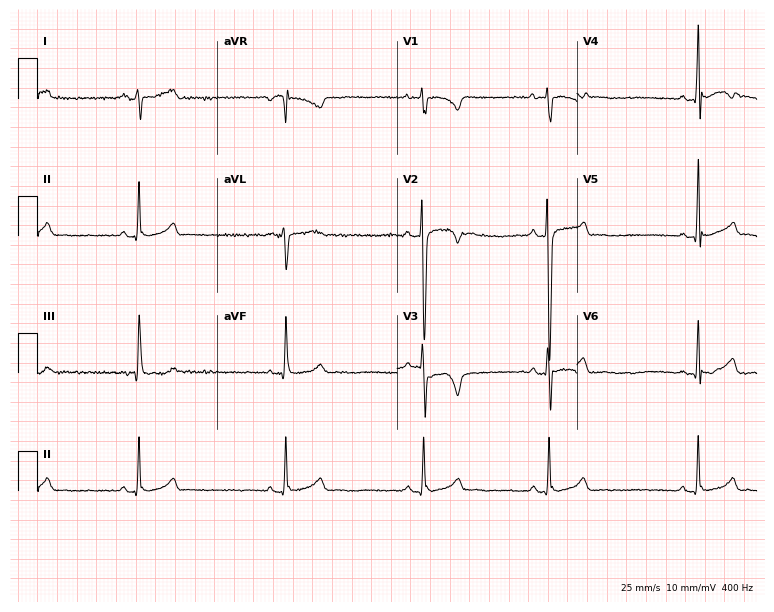
Standard 12-lead ECG recorded from a male patient, 19 years old. None of these six findings is recorded: first-degree AV block, right bundle branch block (RBBB), left bundle branch block (LBBB), sinus bradycardia, atrial fibrillation (AF), sinus tachycardia. Findings outside these six are not listed.